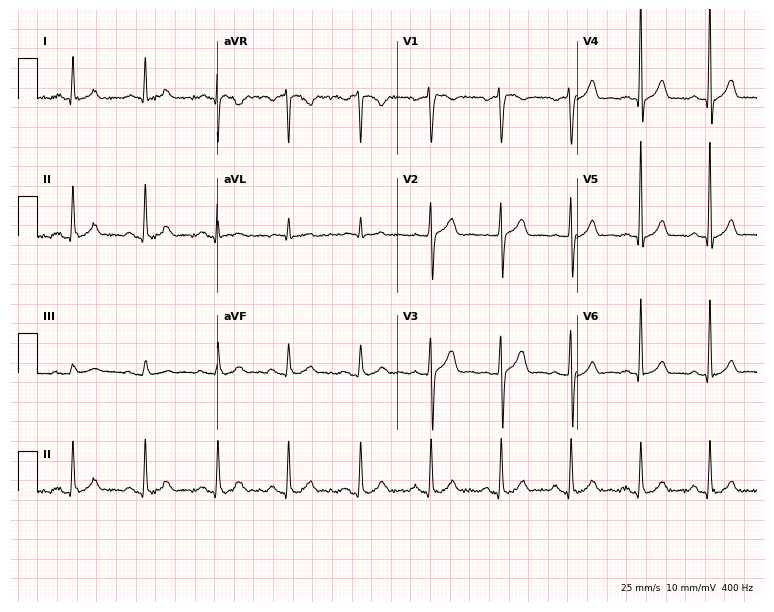
ECG (7.3-second recording at 400 Hz) — a 54-year-old male patient. Screened for six findings — first-degree AV block, right bundle branch block, left bundle branch block, sinus bradycardia, atrial fibrillation, sinus tachycardia — none is recorded. Only these six findings were labelled.